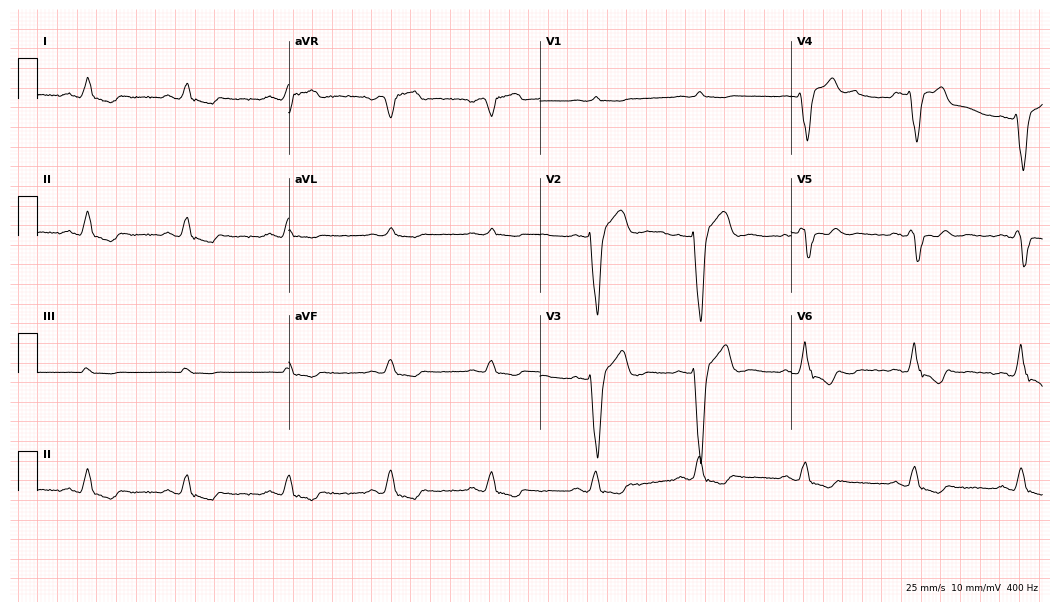
12-lead ECG from a 70-year-old male (10.2-second recording at 400 Hz). Shows left bundle branch block.